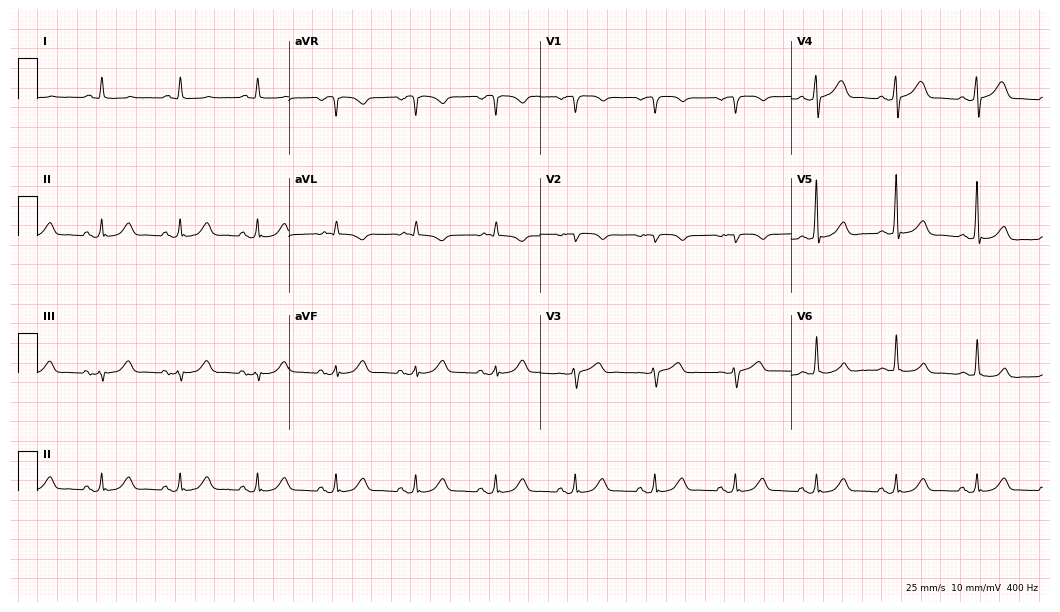
Resting 12-lead electrocardiogram. Patient: a male, 77 years old. None of these six findings is recorded: first-degree AV block, right bundle branch block, left bundle branch block, sinus bradycardia, atrial fibrillation, sinus tachycardia. Other findings, if any, are not listed.